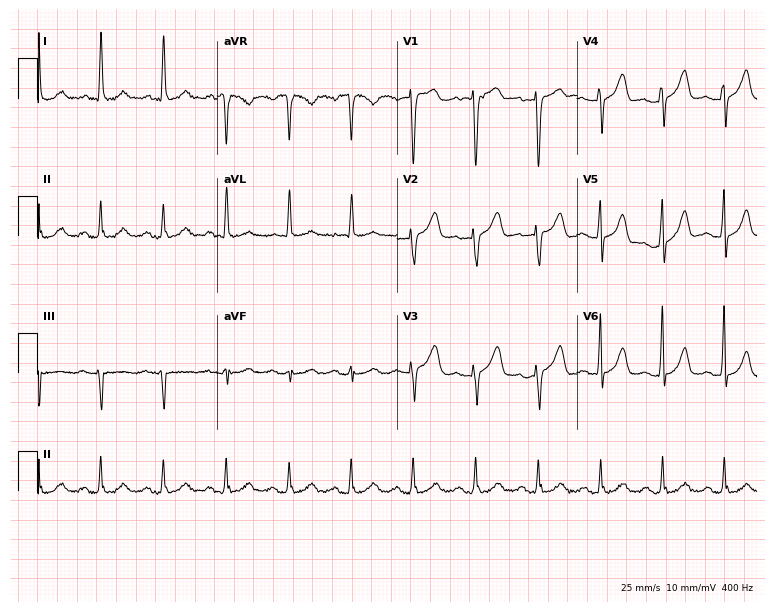
12-lead ECG from a 59-year-old woman. No first-degree AV block, right bundle branch block (RBBB), left bundle branch block (LBBB), sinus bradycardia, atrial fibrillation (AF) or sinus tachycardia recorded for this tracing. Findings outside these six are not listed.